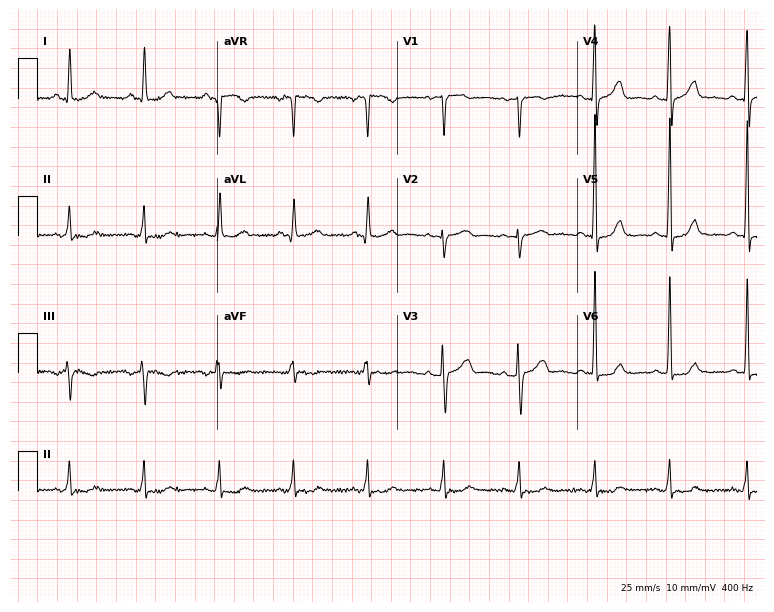
ECG — a female, 64 years old. Screened for six findings — first-degree AV block, right bundle branch block (RBBB), left bundle branch block (LBBB), sinus bradycardia, atrial fibrillation (AF), sinus tachycardia — none is recorded. Only these six findings were labelled.